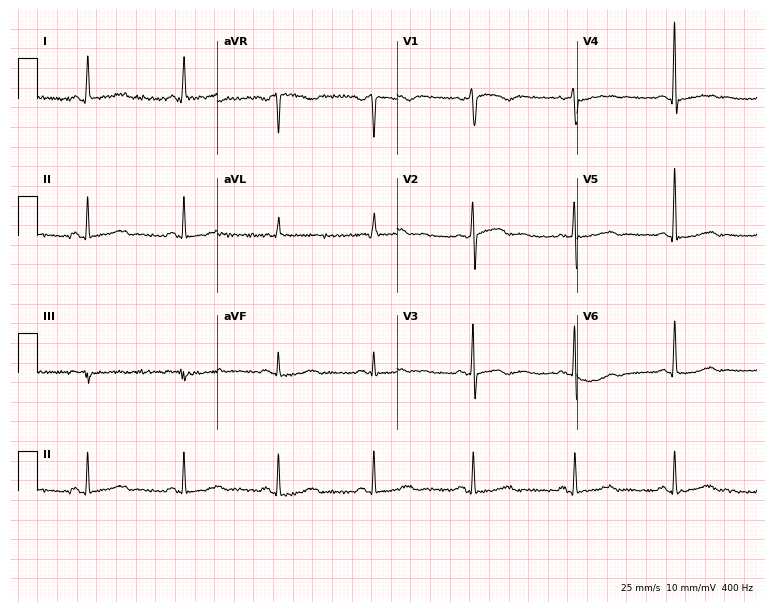
Electrocardiogram (7.3-second recording at 400 Hz), a 59-year-old female patient. Of the six screened findings (first-degree AV block, right bundle branch block, left bundle branch block, sinus bradycardia, atrial fibrillation, sinus tachycardia), none is recorded.